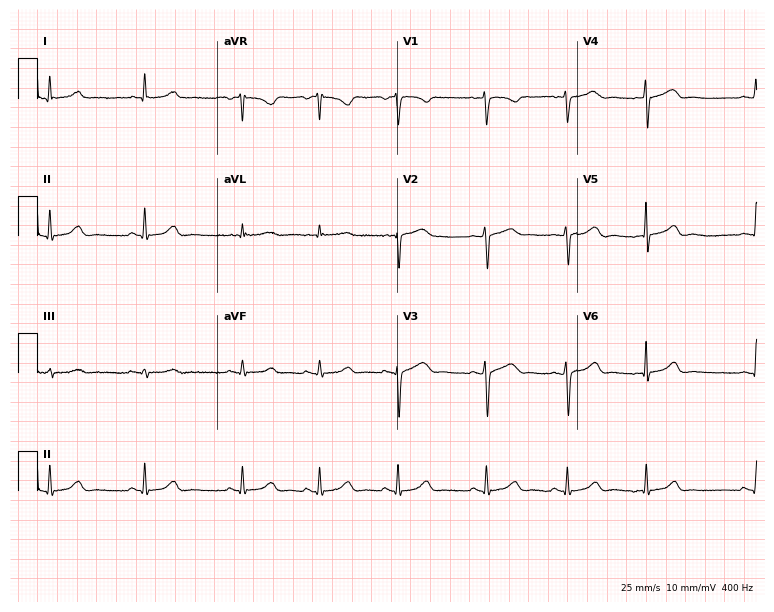
Electrocardiogram (7.3-second recording at 400 Hz), a female, 32 years old. Of the six screened findings (first-degree AV block, right bundle branch block, left bundle branch block, sinus bradycardia, atrial fibrillation, sinus tachycardia), none is recorded.